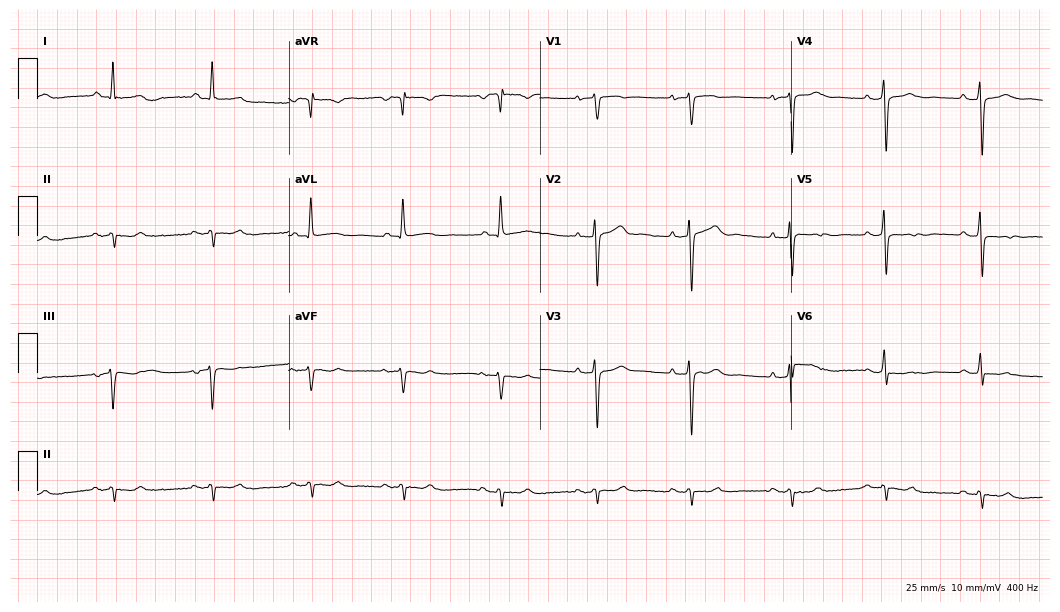
12-lead ECG from a man, 74 years old. Screened for six findings — first-degree AV block, right bundle branch block, left bundle branch block, sinus bradycardia, atrial fibrillation, sinus tachycardia — none is recorded. Only these six findings were labelled.